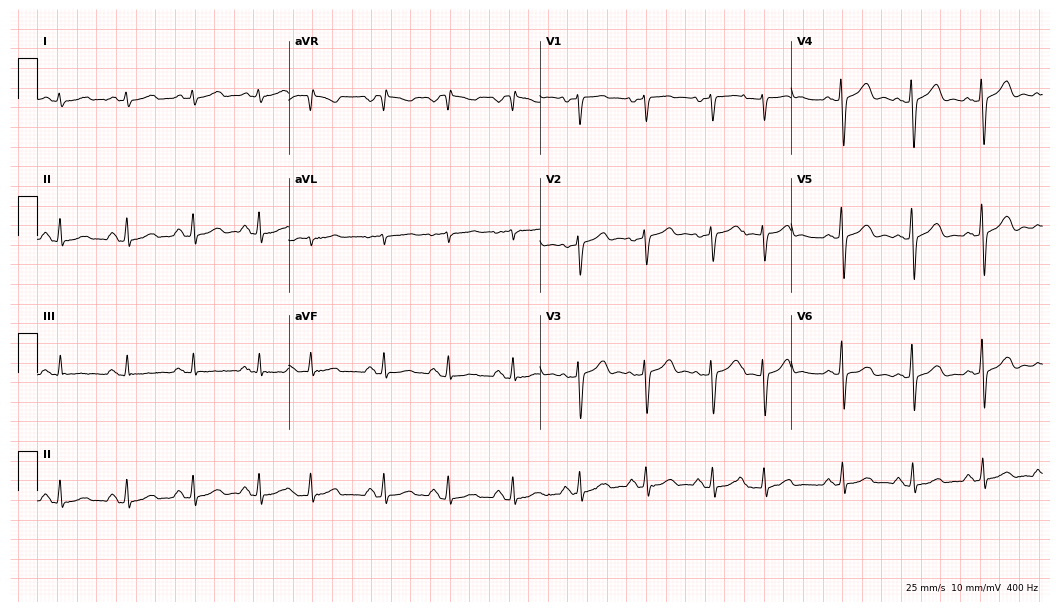
12-lead ECG (10.2-second recording at 400 Hz) from a female, 46 years old. Screened for six findings — first-degree AV block, right bundle branch block (RBBB), left bundle branch block (LBBB), sinus bradycardia, atrial fibrillation (AF), sinus tachycardia — none is recorded.